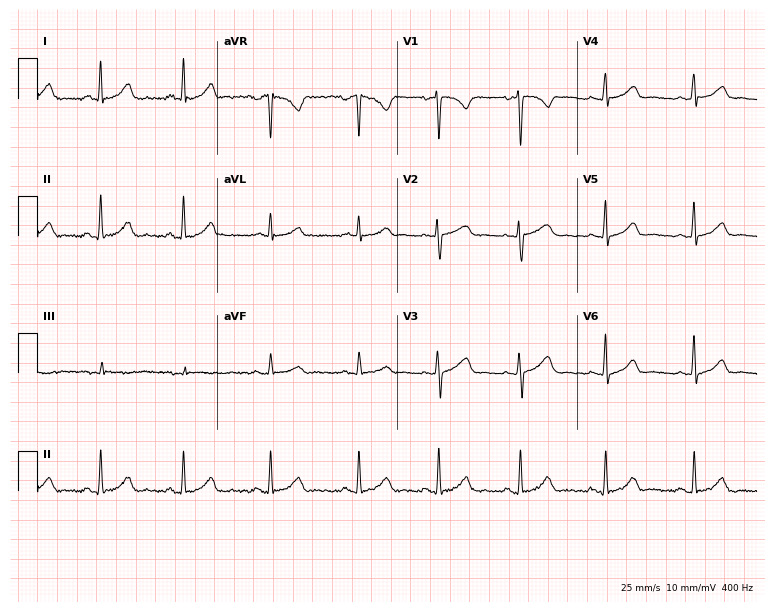
Resting 12-lead electrocardiogram. Patient: a female, 27 years old. Read as a normal ECG.